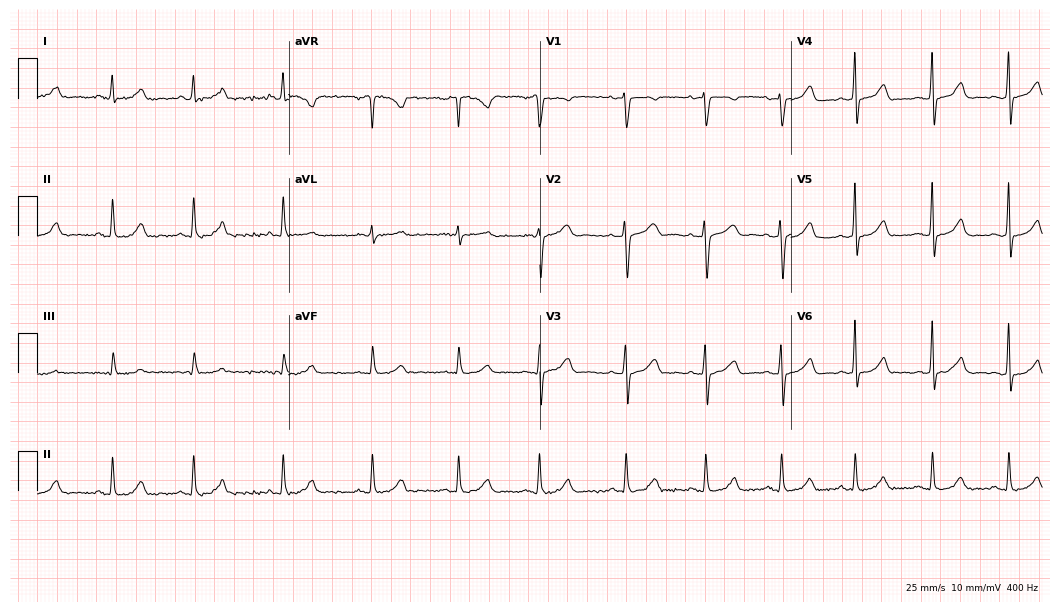
ECG — a woman, 43 years old. Screened for six findings — first-degree AV block, right bundle branch block (RBBB), left bundle branch block (LBBB), sinus bradycardia, atrial fibrillation (AF), sinus tachycardia — none is recorded. Other findings, if any, are not listed.